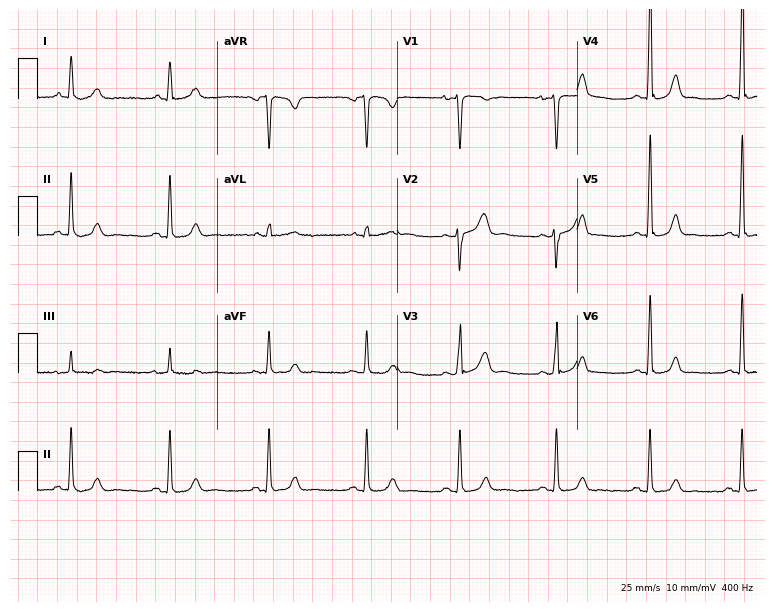
12-lead ECG from a female patient, 44 years old (7.3-second recording at 400 Hz). No first-degree AV block, right bundle branch block (RBBB), left bundle branch block (LBBB), sinus bradycardia, atrial fibrillation (AF) or sinus tachycardia recorded for this tracing.